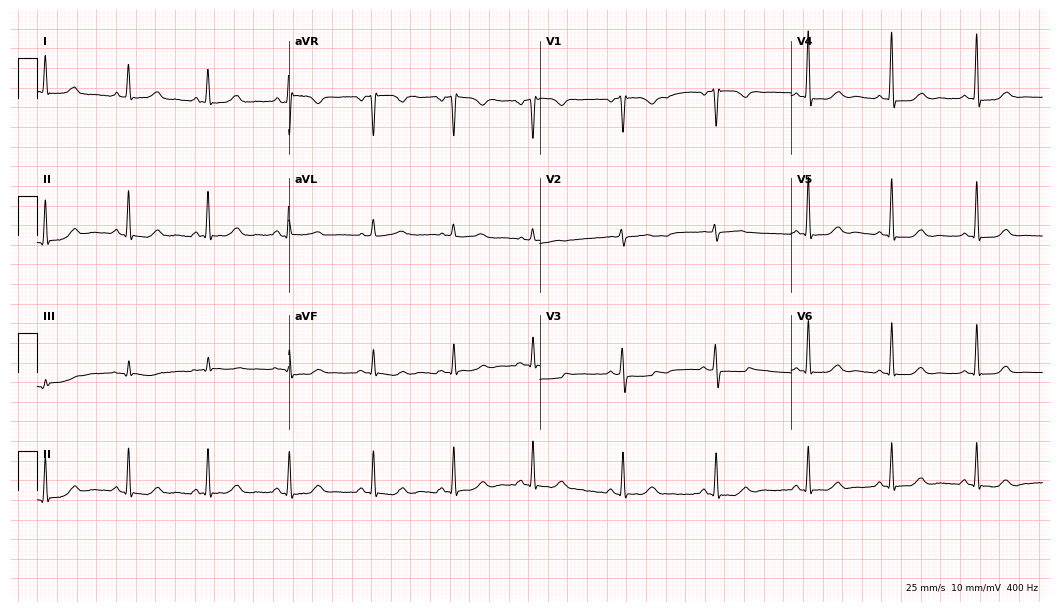
12-lead ECG (10.2-second recording at 400 Hz) from a woman, 57 years old. Screened for six findings — first-degree AV block, right bundle branch block (RBBB), left bundle branch block (LBBB), sinus bradycardia, atrial fibrillation (AF), sinus tachycardia — none is recorded. Other findings, if any, are not listed.